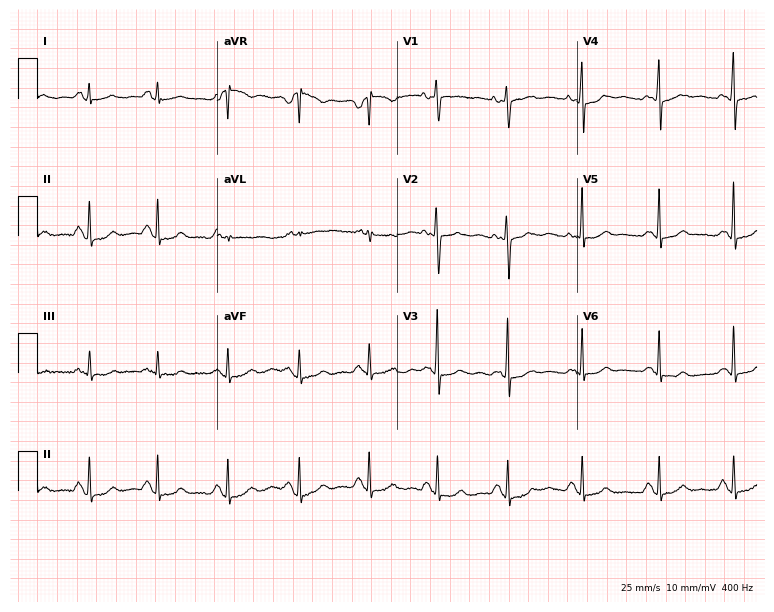
Resting 12-lead electrocardiogram (7.3-second recording at 400 Hz). Patient: a female, 26 years old. Read as a normal ECG.